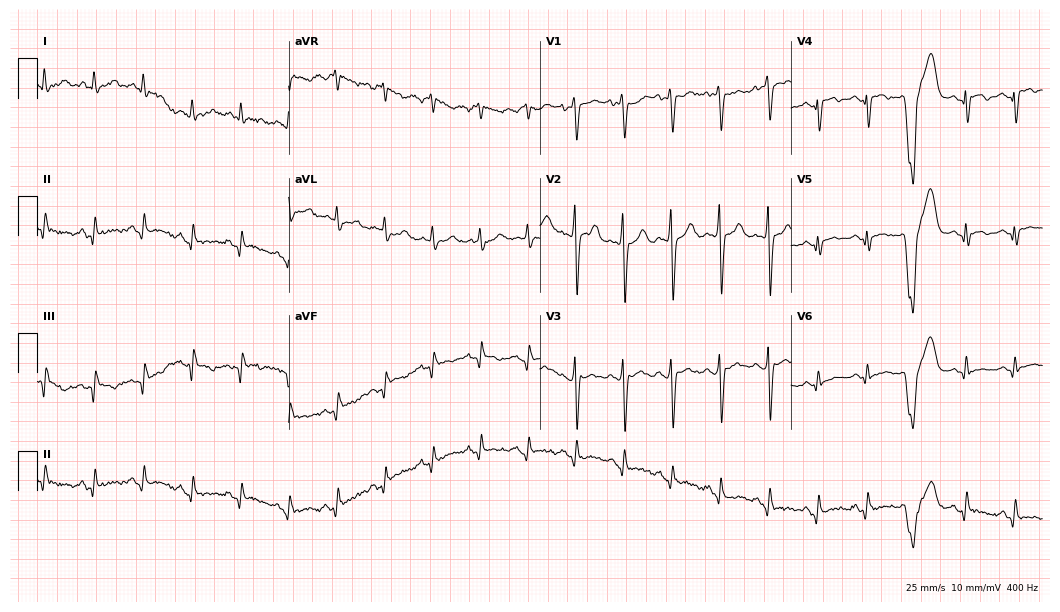
Standard 12-lead ECG recorded from a male patient, 52 years old. None of these six findings is recorded: first-degree AV block, right bundle branch block (RBBB), left bundle branch block (LBBB), sinus bradycardia, atrial fibrillation (AF), sinus tachycardia. Findings outside these six are not listed.